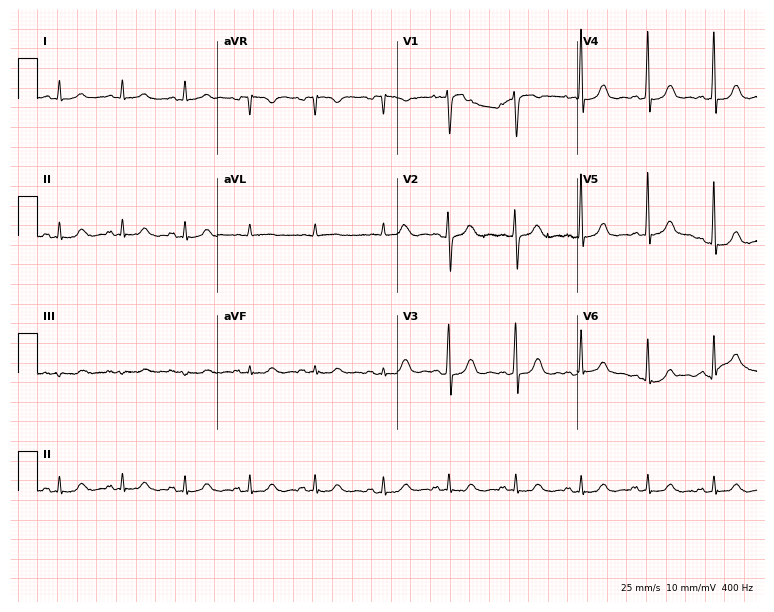
Electrocardiogram (7.3-second recording at 400 Hz), a female patient, 28 years old. Overall reading on record: normal ECG.